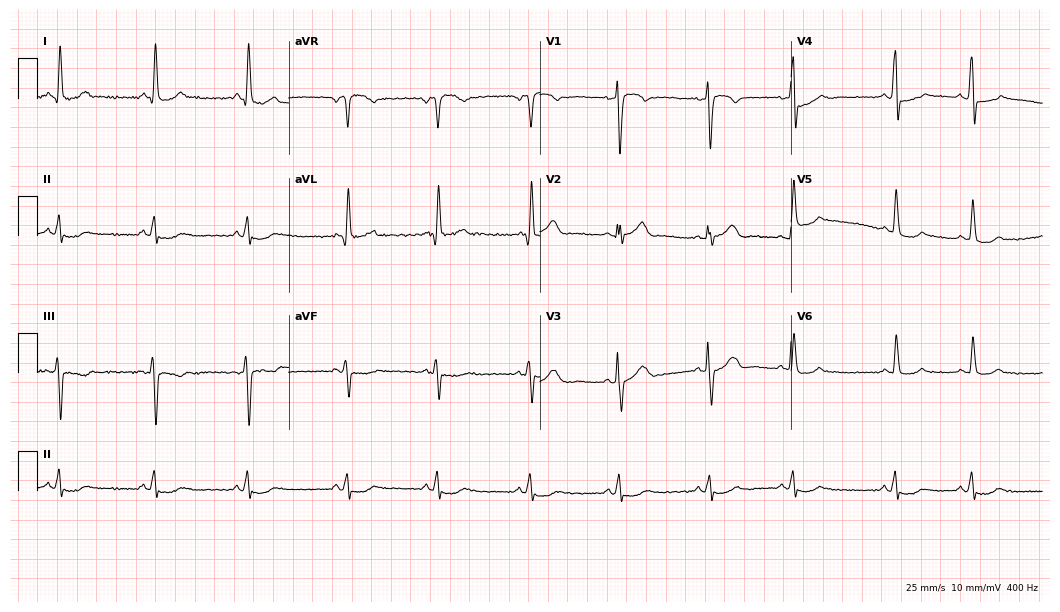
12-lead ECG (10.2-second recording at 400 Hz) from a 51-year-old male. Screened for six findings — first-degree AV block, right bundle branch block, left bundle branch block, sinus bradycardia, atrial fibrillation, sinus tachycardia — none is recorded.